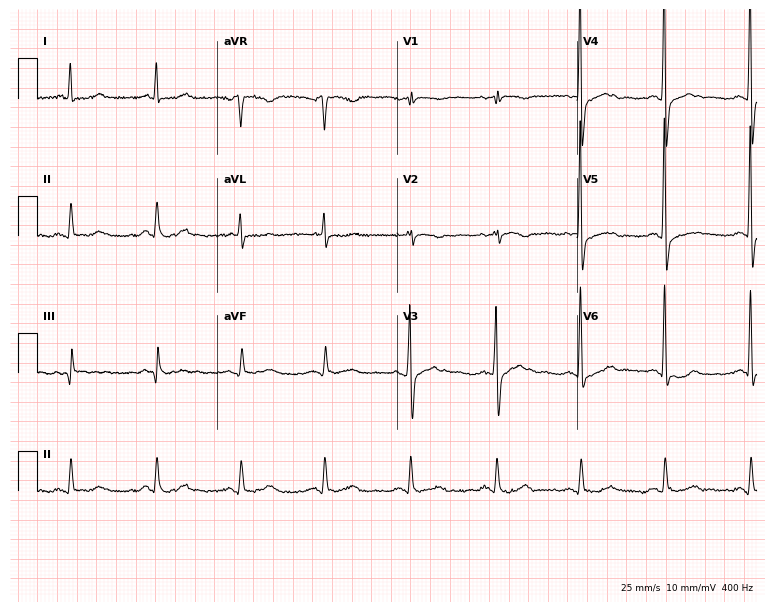
Resting 12-lead electrocardiogram (7.3-second recording at 400 Hz). Patient: a male, 67 years old. None of these six findings is recorded: first-degree AV block, right bundle branch block, left bundle branch block, sinus bradycardia, atrial fibrillation, sinus tachycardia.